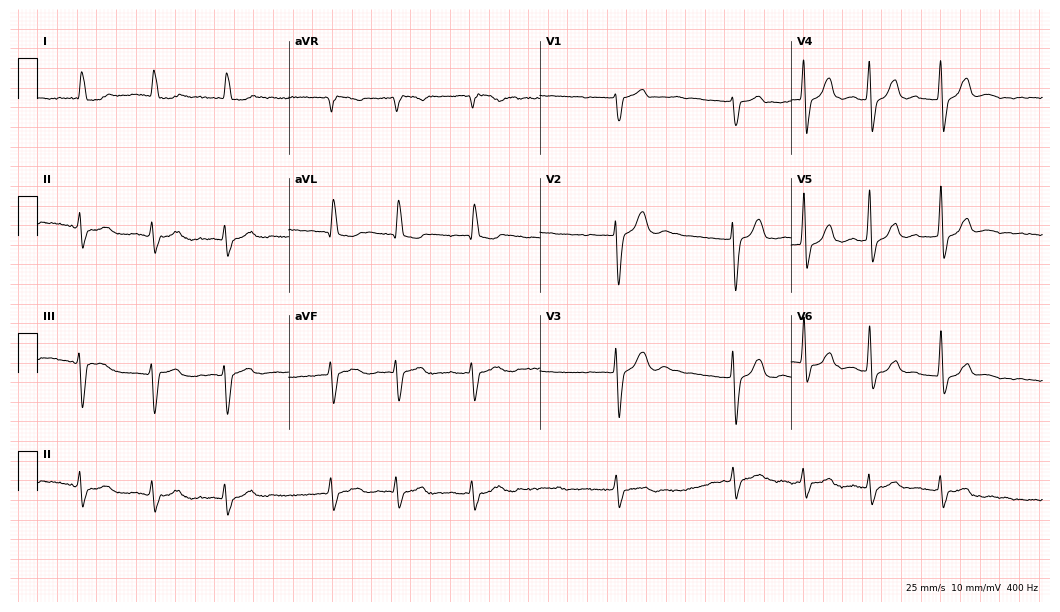
Standard 12-lead ECG recorded from a female patient, 84 years old. The tracing shows left bundle branch block, atrial fibrillation.